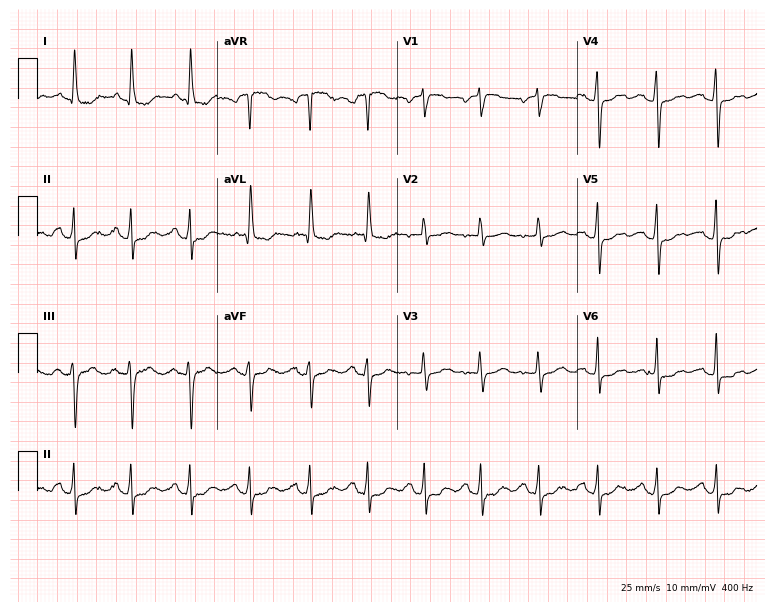
12-lead ECG from a female patient, 65 years old (7.3-second recording at 400 Hz). Shows sinus tachycardia (a sinus rate of 100 beats per minute or more).